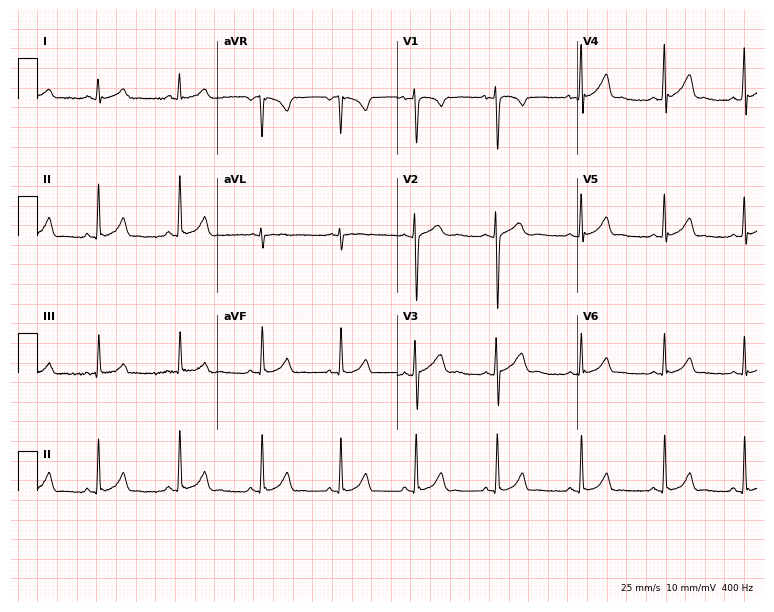
Resting 12-lead electrocardiogram. Patient: a 17-year-old woman. None of these six findings is recorded: first-degree AV block, right bundle branch block, left bundle branch block, sinus bradycardia, atrial fibrillation, sinus tachycardia.